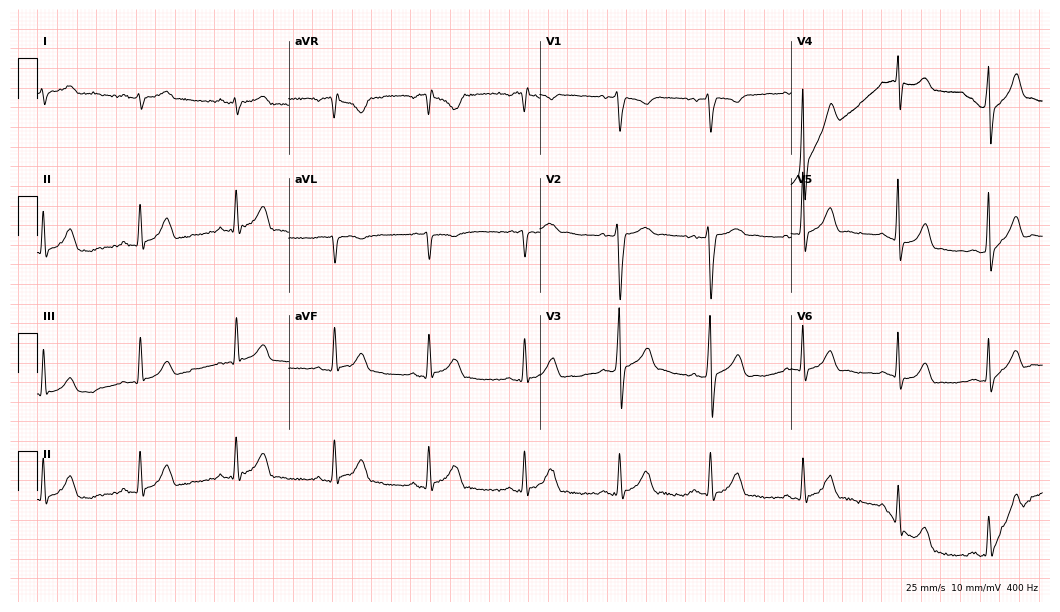
Resting 12-lead electrocardiogram (10.2-second recording at 400 Hz). Patient: a male, 33 years old. None of these six findings is recorded: first-degree AV block, right bundle branch block, left bundle branch block, sinus bradycardia, atrial fibrillation, sinus tachycardia. Other findings, if any, are not listed.